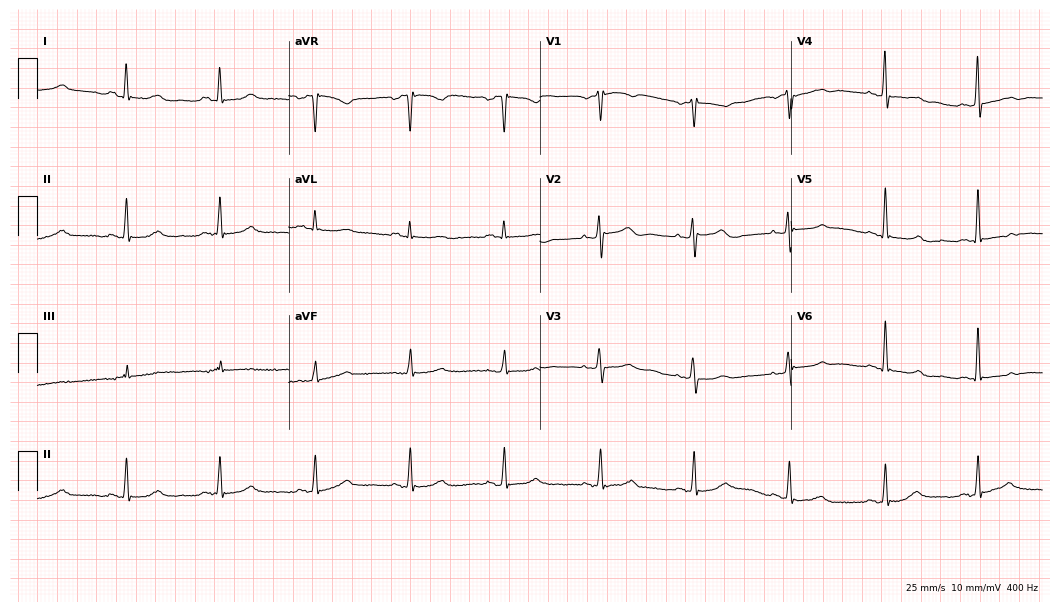
12-lead ECG (10.2-second recording at 400 Hz) from a 58-year-old female patient. Screened for six findings — first-degree AV block, right bundle branch block (RBBB), left bundle branch block (LBBB), sinus bradycardia, atrial fibrillation (AF), sinus tachycardia — none is recorded. Findings outside these six are not listed.